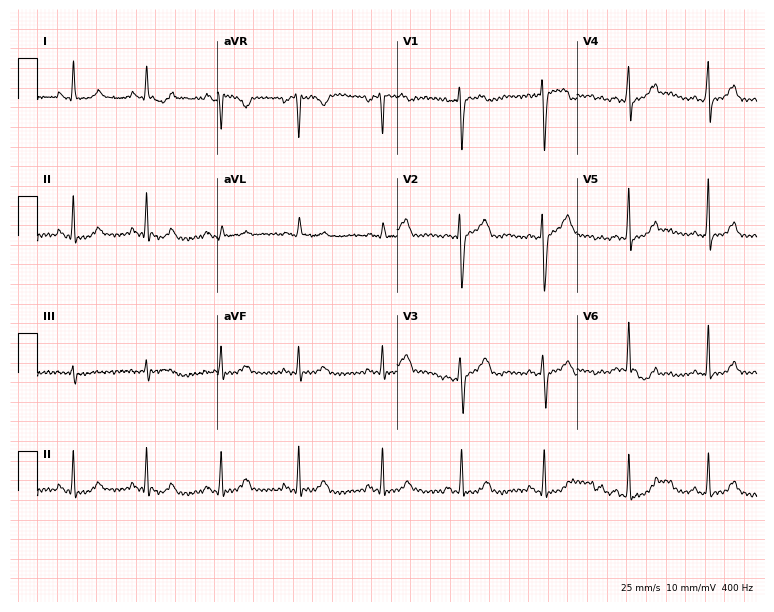
Electrocardiogram (7.3-second recording at 400 Hz), a 42-year-old female. Of the six screened findings (first-degree AV block, right bundle branch block, left bundle branch block, sinus bradycardia, atrial fibrillation, sinus tachycardia), none is recorded. Only these six findings were labelled.